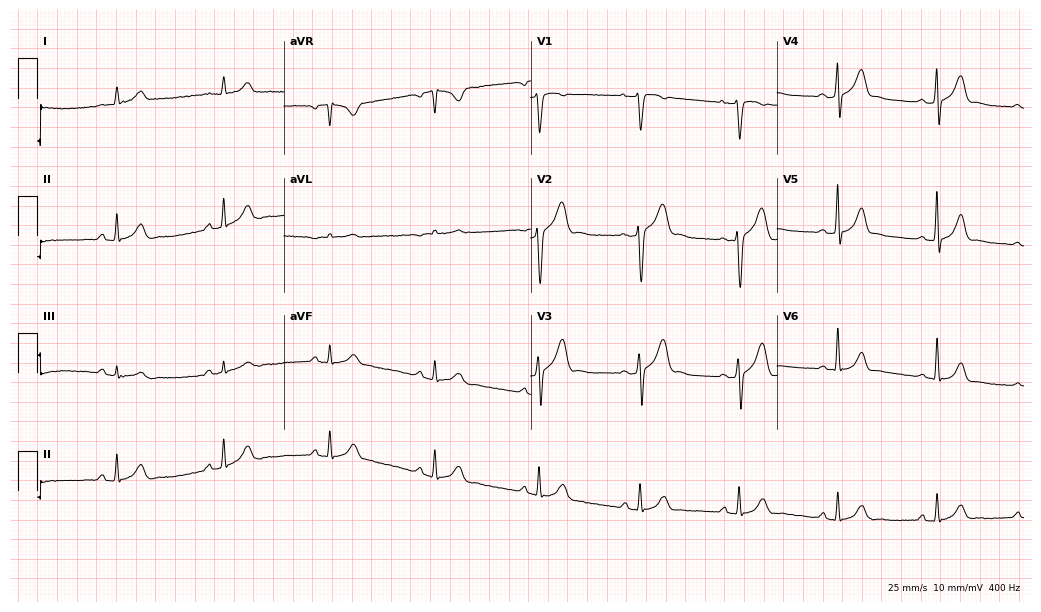
12-lead ECG (10.1-second recording at 400 Hz) from a 30-year-old male patient. Labelled as a normal ECG.